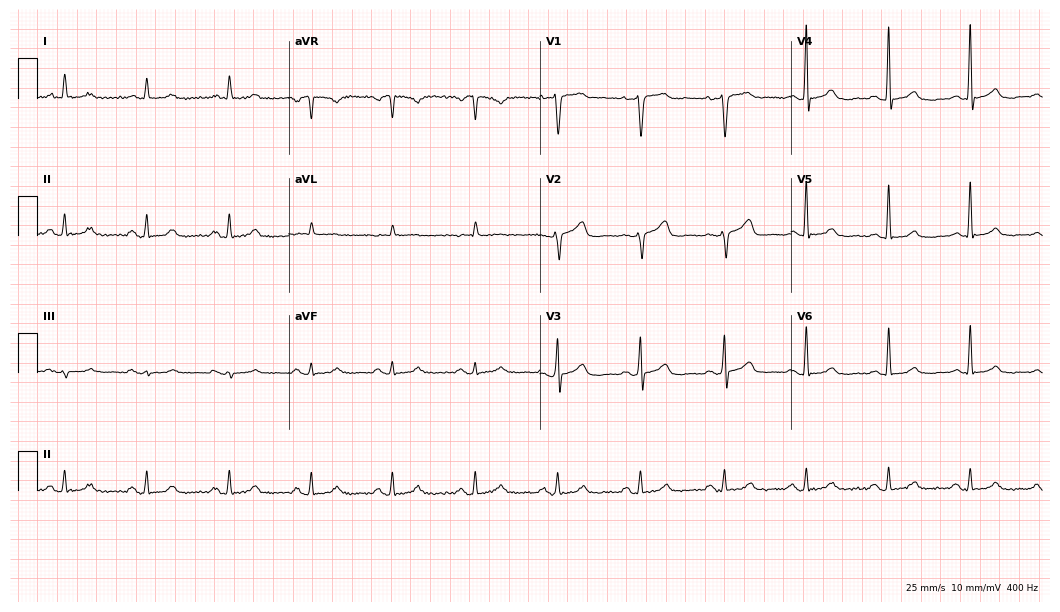
Electrocardiogram, a 69-year-old male patient. Overall reading on record: normal ECG.